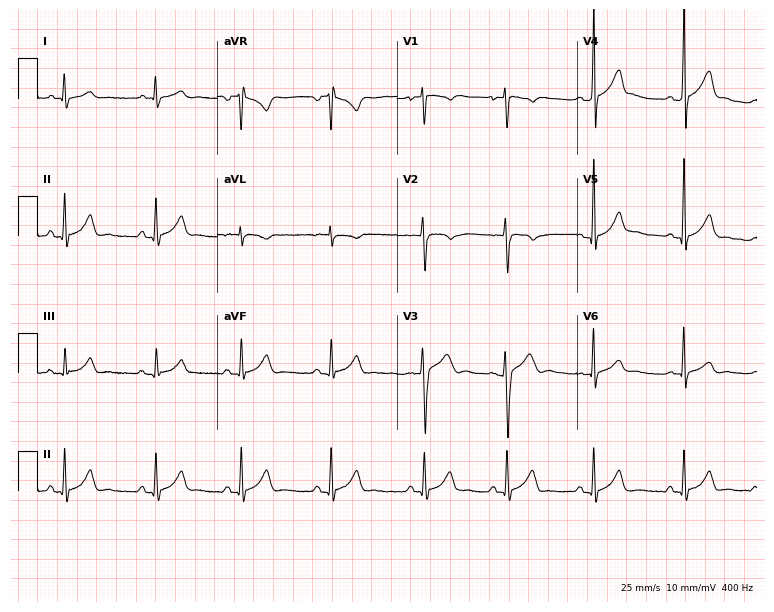
ECG (7.3-second recording at 400 Hz) — a 23-year-old male. Labelled as a normal ECG.